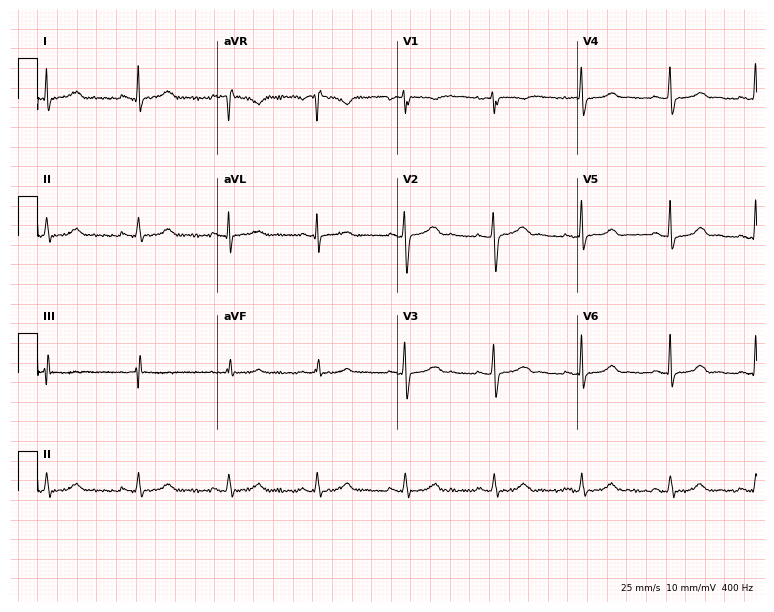
12-lead ECG from a female, 40 years old. Recorded interpretation: within normal limits.